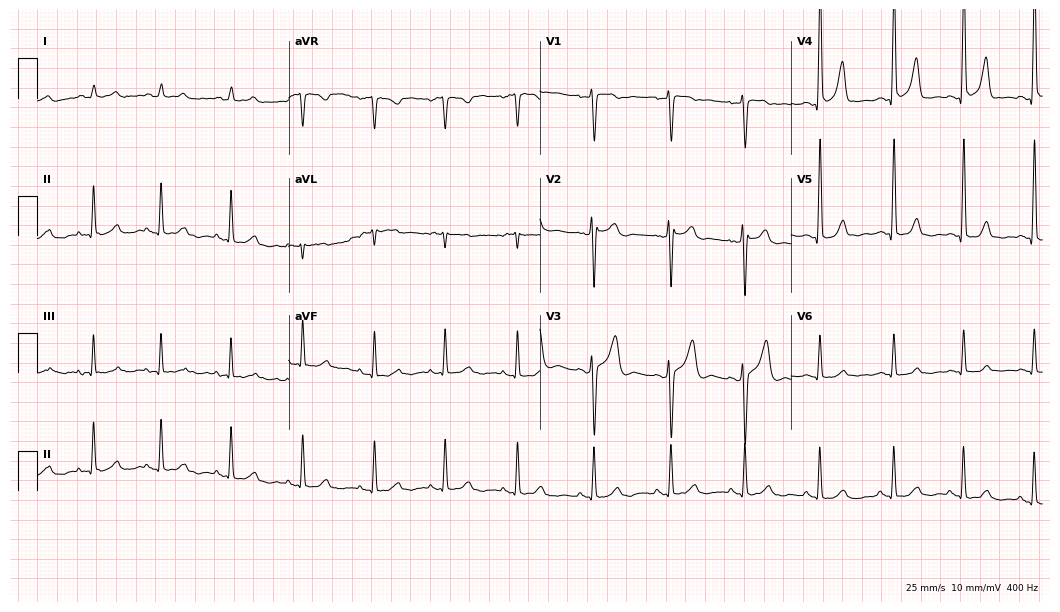
ECG — a male patient, 38 years old. Labelled as a normal ECG.